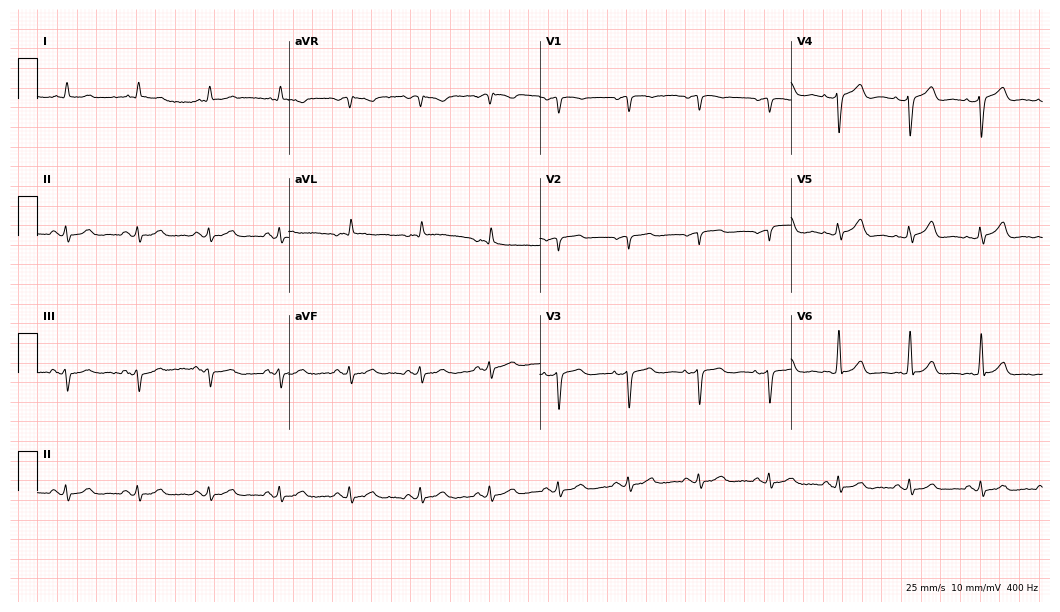
Resting 12-lead electrocardiogram (10.2-second recording at 400 Hz). Patient: an 81-year-old male. None of these six findings is recorded: first-degree AV block, right bundle branch block, left bundle branch block, sinus bradycardia, atrial fibrillation, sinus tachycardia.